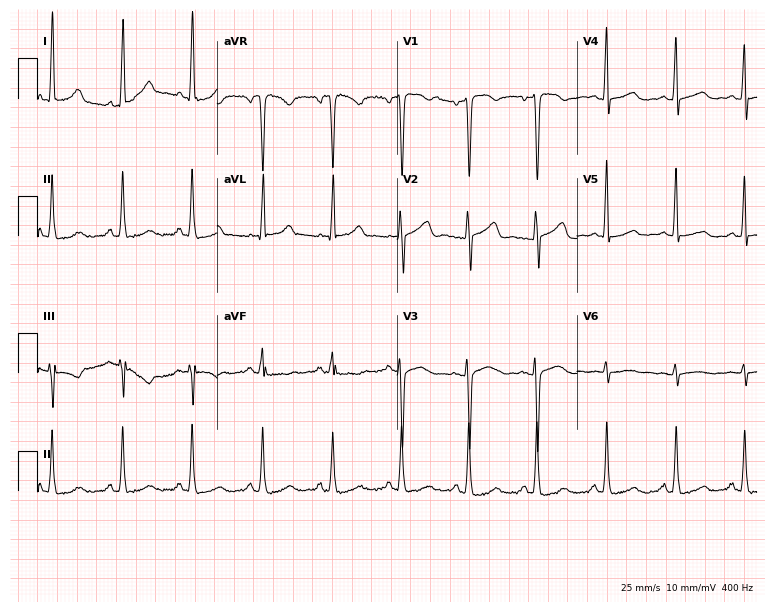
Standard 12-lead ECG recorded from a 45-year-old woman (7.3-second recording at 400 Hz). Read as a normal ECG.